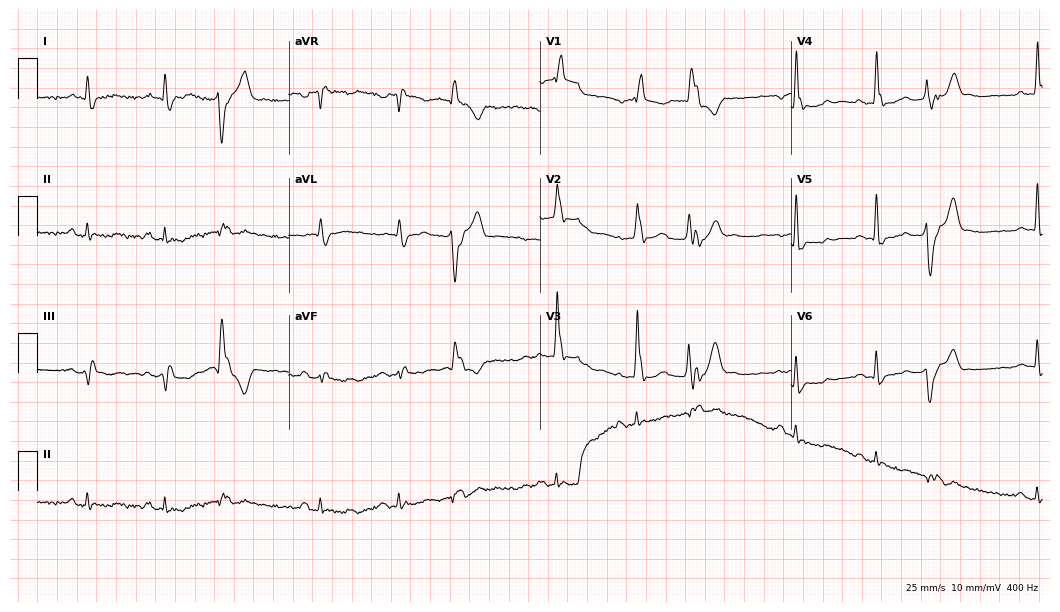
12-lead ECG from a 39-year-old male patient (10.2-second recording at 400 Hz). No first-degree AV block, right bundle branch block, left bundle branch block, sinus bradycardia, atrial fibrillation or sinus tachycardia recorded for this tracing. Findings outside these six are not listed.